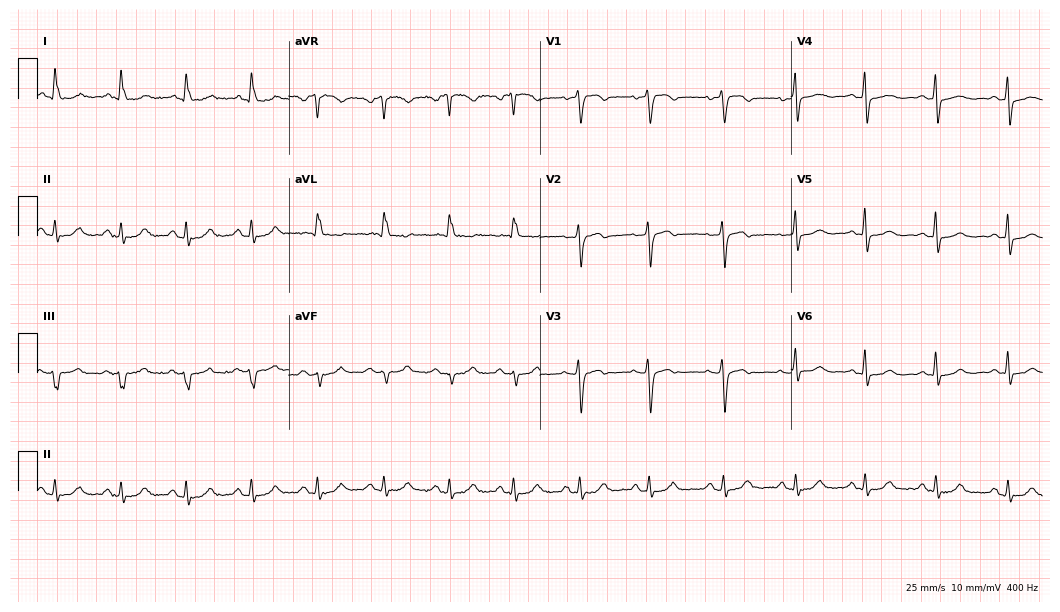
Electrocardiogram, a 71-year-old female patient. Of the six screened findings (first-degree AV block, right bundle branch block, left bundle branch block, sinus bradycardia, atrial fibrillation, sinus tachycardia), none is recorded. Findings outside these six are not listed.